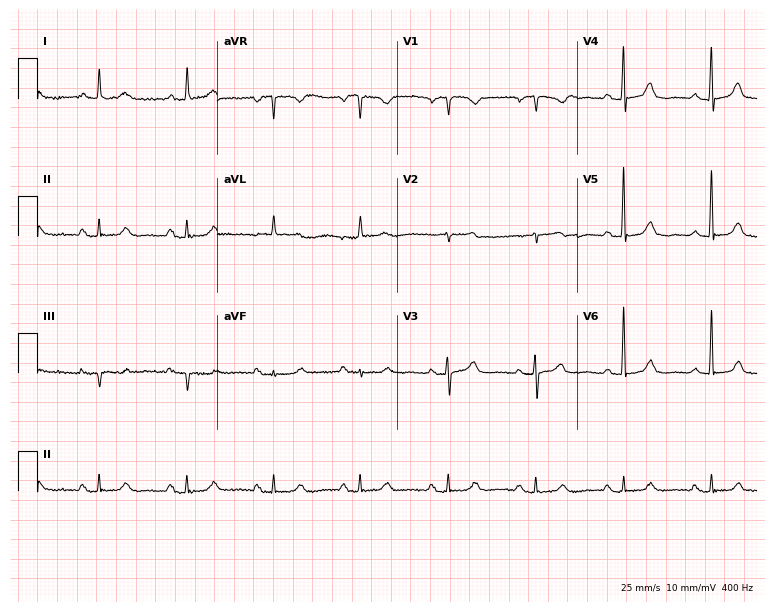
Standard 12-lead ECG recorded from a female patient, 68 years old (7.3-second recording at 400 Hz). Read as a normal ECG.